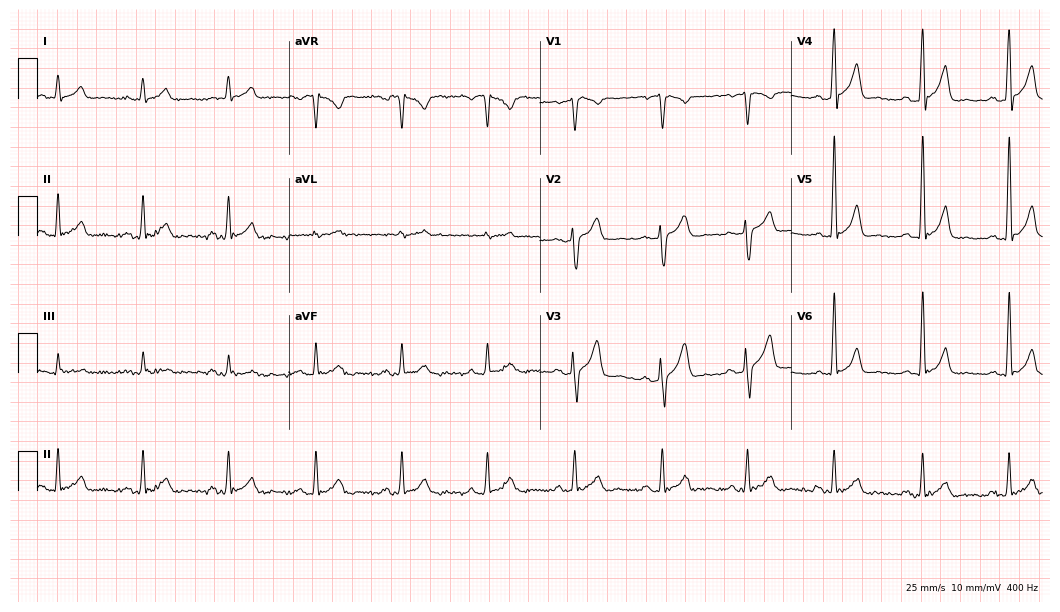
12-lead ECG from a 45-year-old man (10.2-second recording at 400 Hz). Recorded interpretation: within normal limits.